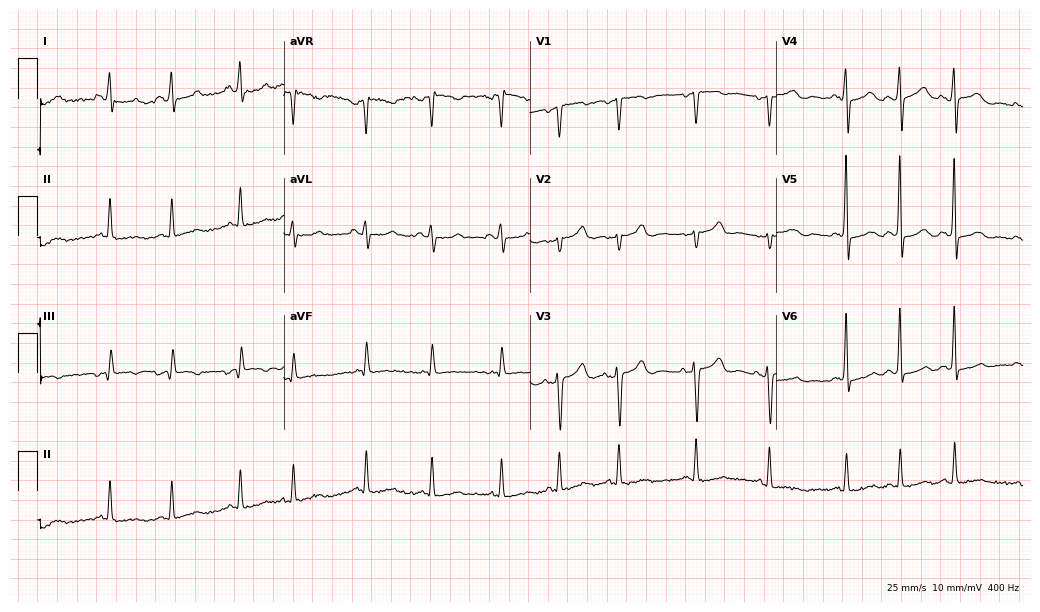
Standard 12-lead ECG recorded from a 77-year-old woman. None of these six findings is recorded: first-degree AV block, right bundle branch block (RBBB), left bundle branch block (LBBB), sinus bradycardia, atrial fibrillation (AF), sinus tachycardia.